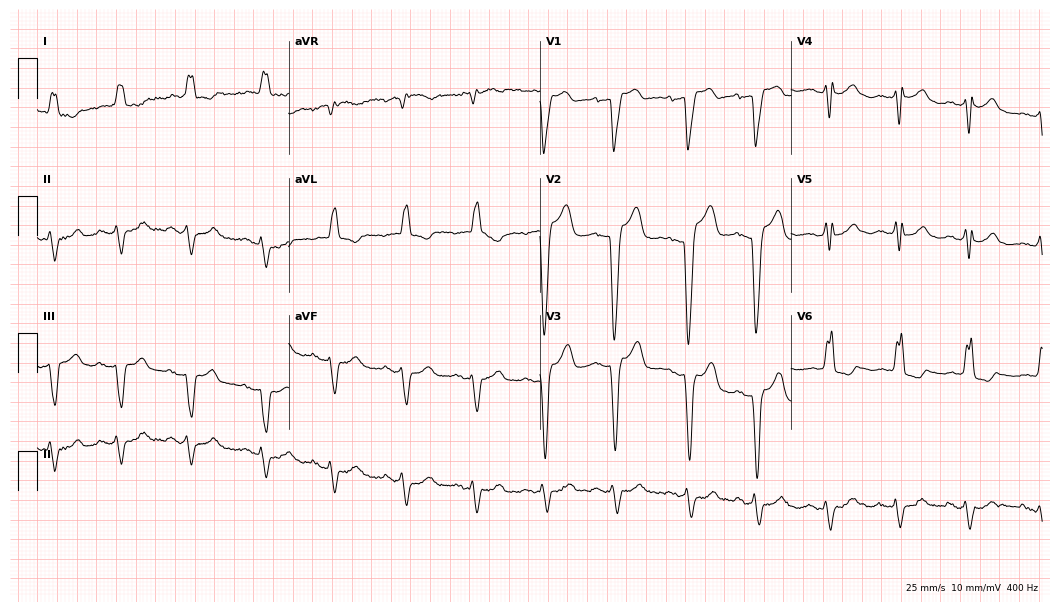
ECG (10.2-second recording at 400 Hz) — a woman, 85 years old. Findings include left bundle branch block.